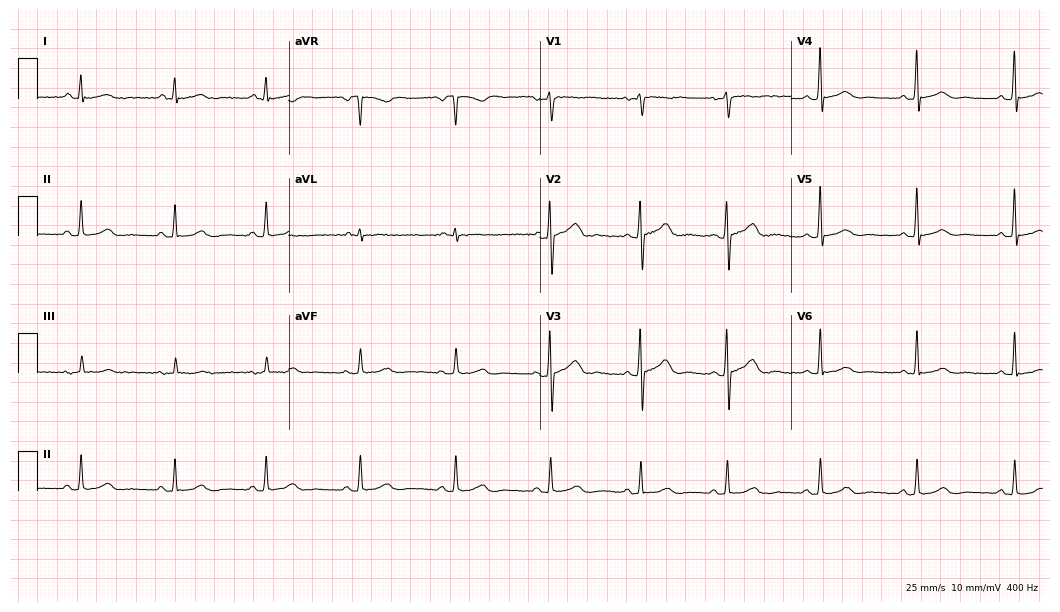
Electrocardiogram, a 27-year-old female. Of the six screened findings (first-degree AV block, right bundle branch block, left bundle branch block, sinus bradycardia, atrial fibrillation, sinus tachycardia), none is recorded. Findings outside these six are not listed.